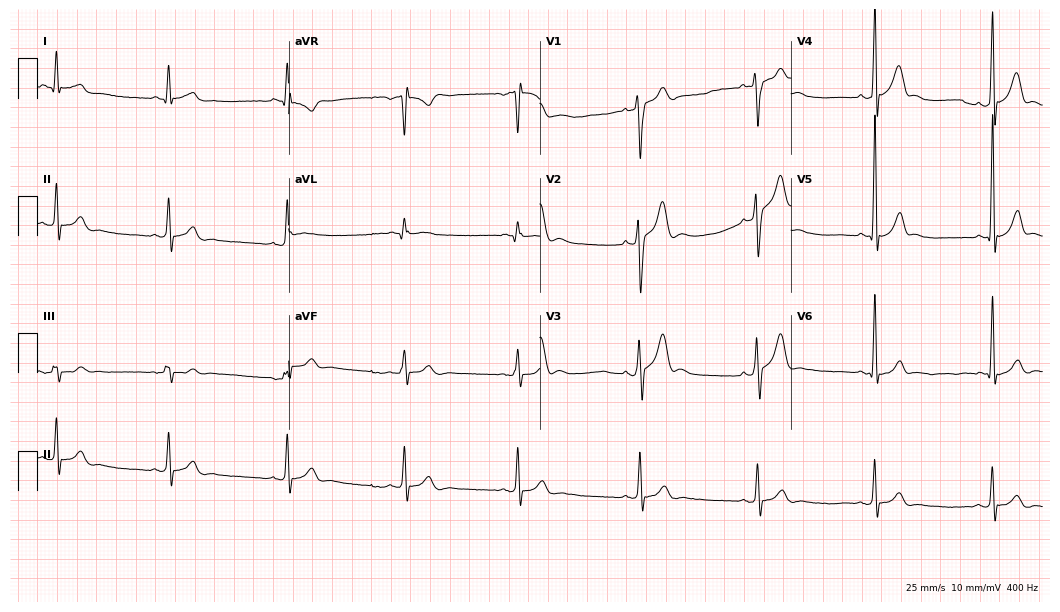
Electrocardiogram (10.2-second recording at 400 Hz), a man, 19 years old. Interpretation includes sinus bradycardia (a sinus rate of 50 beats per minute or less).